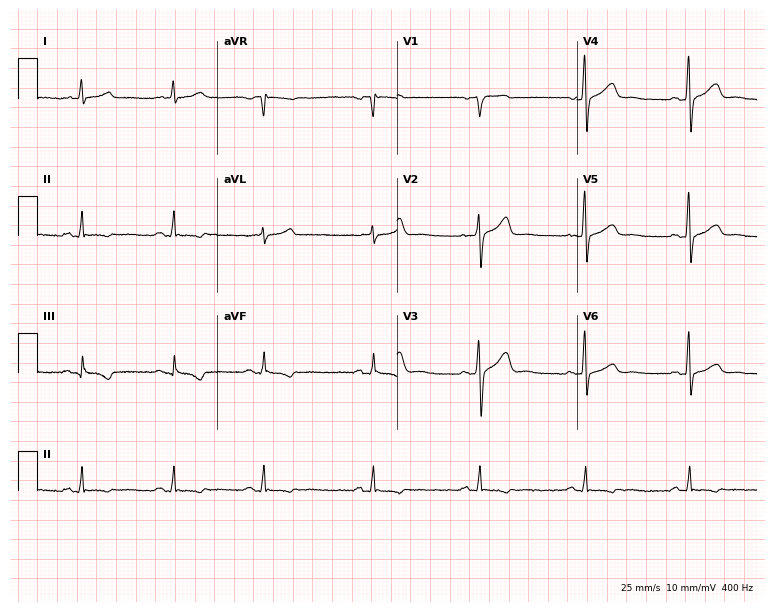
12-lead ECG from a man, 64 years old (7.3-second recording at 400 Hz). No first-degree AV block, right bundle branch block, left bundle branch block, sinus bradycardia, atrial fibrillation or sinus tachycardia recorded for this tracing.